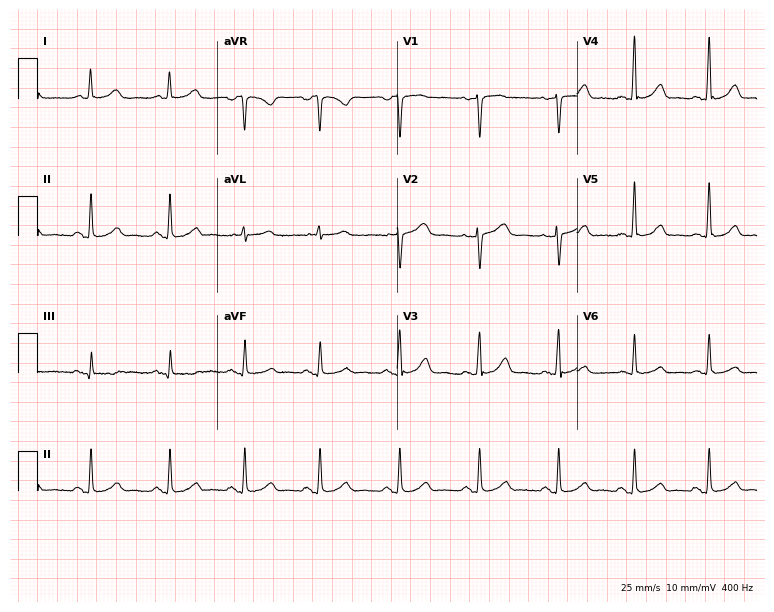
Resting 12-lead electrocardiogram (7.3-second recording at 400 Hz). Patient: a 43-year-old female. Read as a normal ECG.